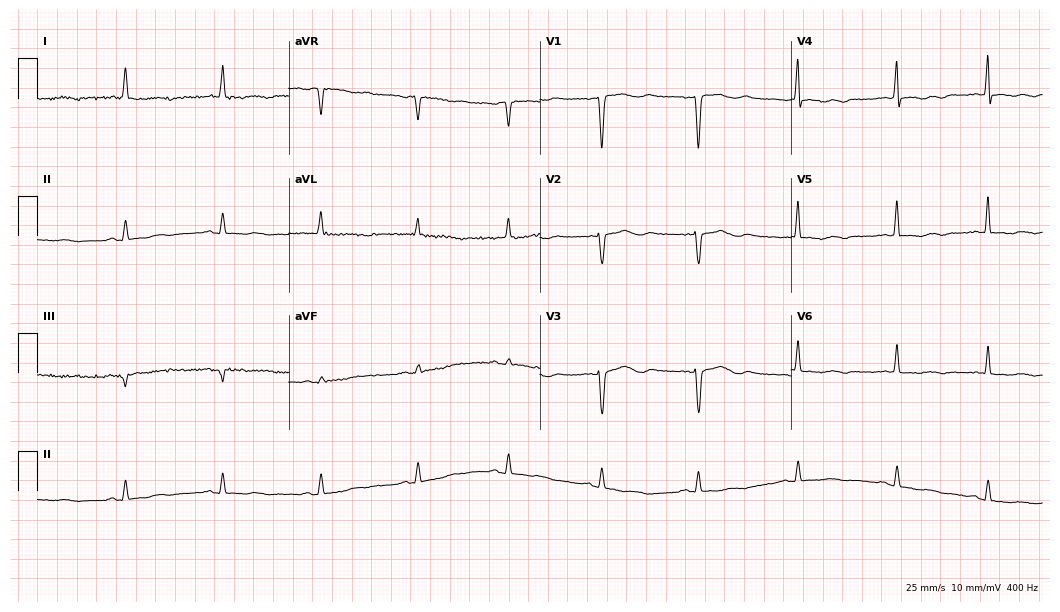
12-lead ECG from a female patient, 33 years old (10.2-second recording at 400 Hz). No first-degree AV block, right bundle branch block, left bundle branch block, sinus bradycardia, atrial fibrillation or sinus tachycardia recorded for this tracing. Findings outside these six are not listed.